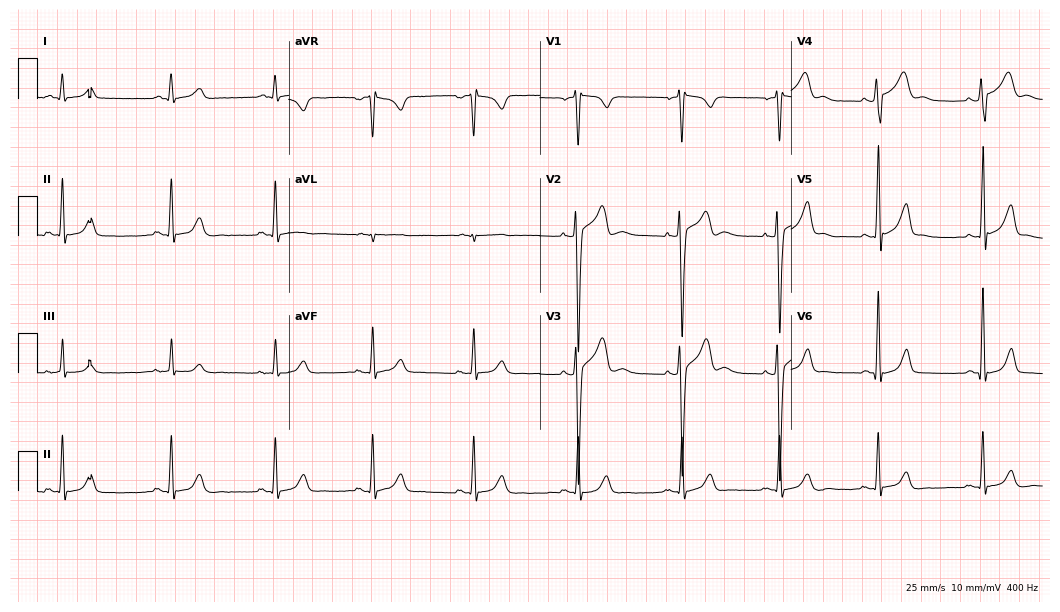
Standard 12-lead ECG recorded from a male, 38 years old. Read as a normal ECG.